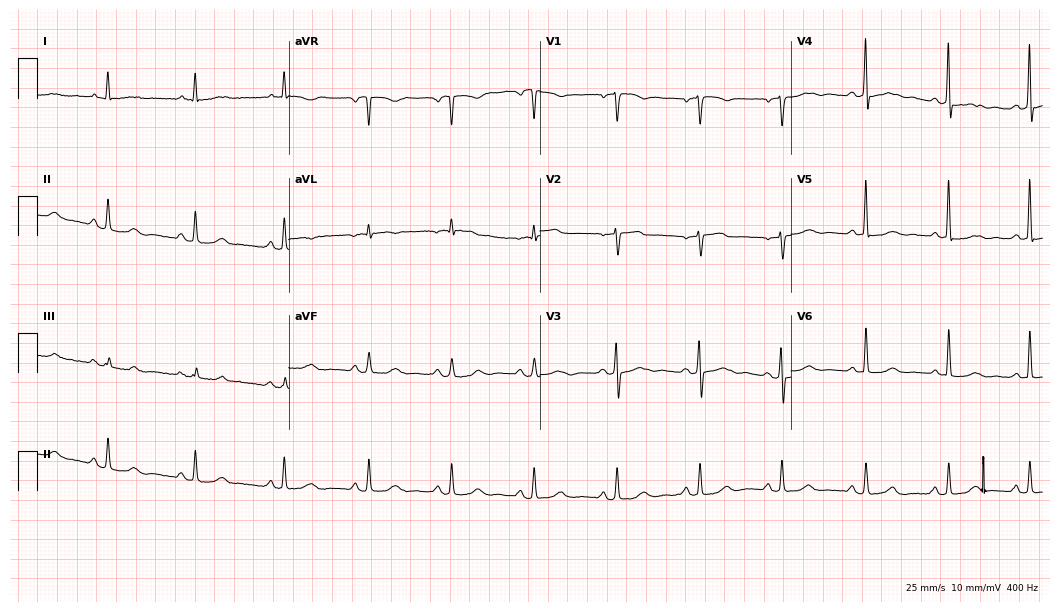
Resting 12-lead electrocardiogram (10.2-second recording at 400 Hz). Patient: a 69-year-old woman. None of these six findings is recorded: first-degree AV block, right bundle branch block, left bundle branch block, sinus bradycardia, atrial fibrillation, sinus tachycardia.